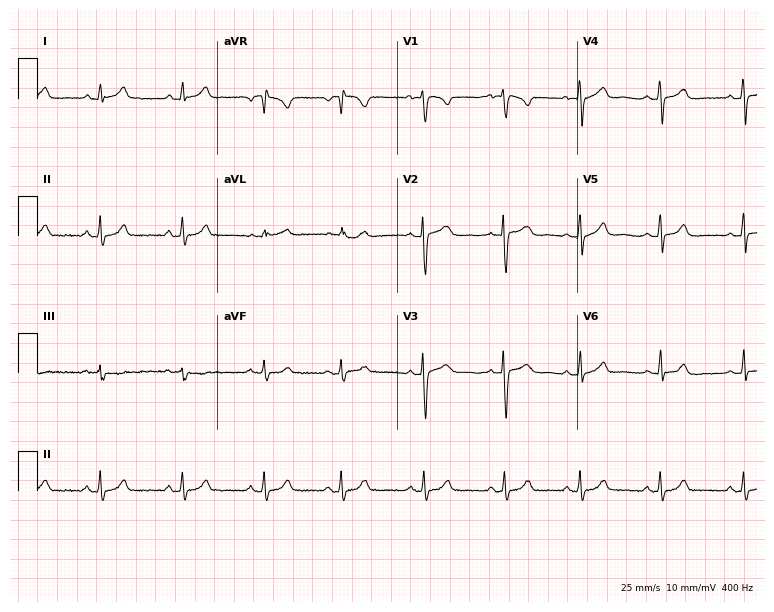
ECG — a female patient, 24 years old. Labelled as a normal ECG.